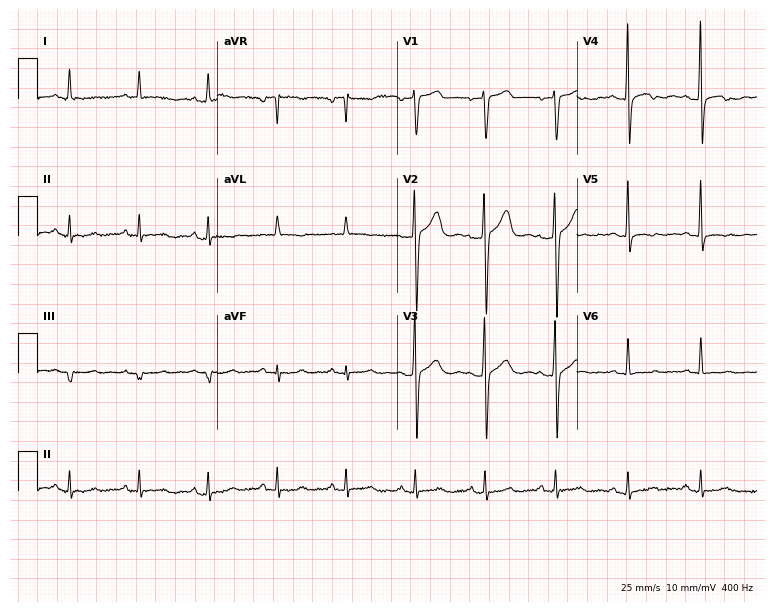
12-lead ECG from a 45-year-old male patient. Screened for six findings — first-degree AV block, right bundle branch block (RBBB), left bundle branch block (LBBB), sinus bradycardia, atrial fibrillation (AF), sinus tachycardia — none is recorded.